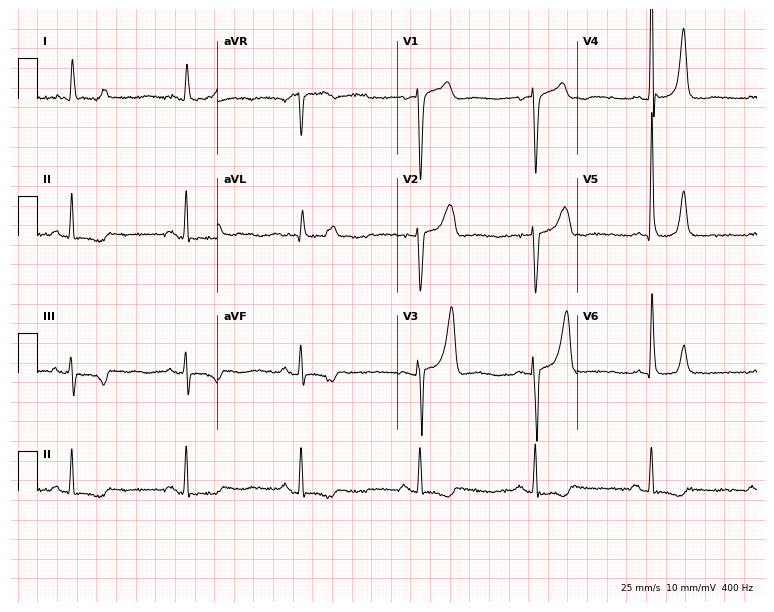
Resting 12-lead electrocardiogram. Patient: a 70-year-old man. None of these six findings is recorded: first-degree AV block, right bundle branch block, left bundle branch block, sinus bradycardia, atrial fibrillation, sinus tachycardia. Findings outside these six are not listed.